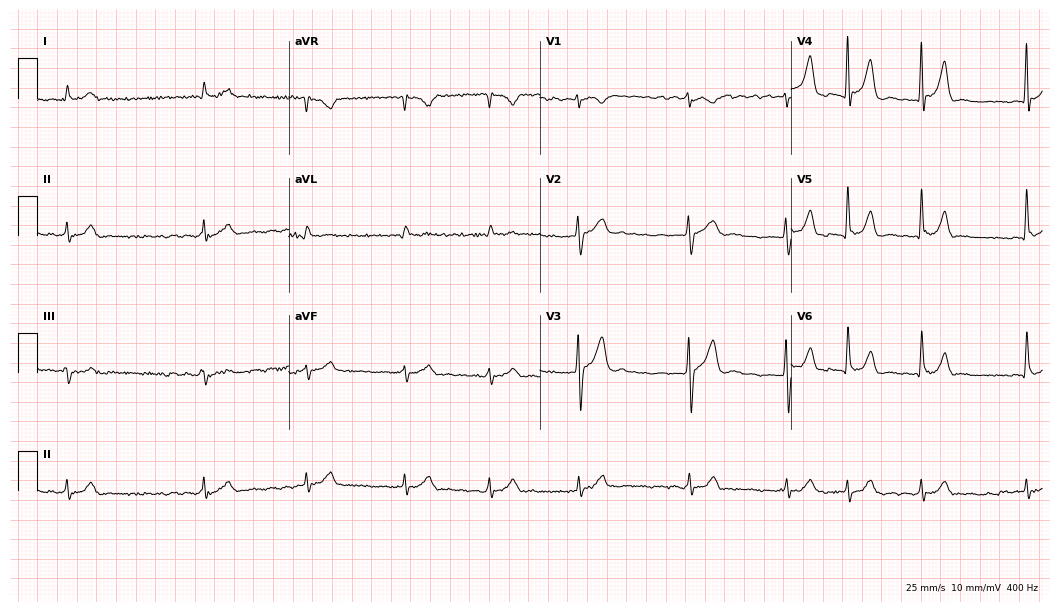
12-lead ECG from an 81-year-old man. Findings include atrial fibrillation.